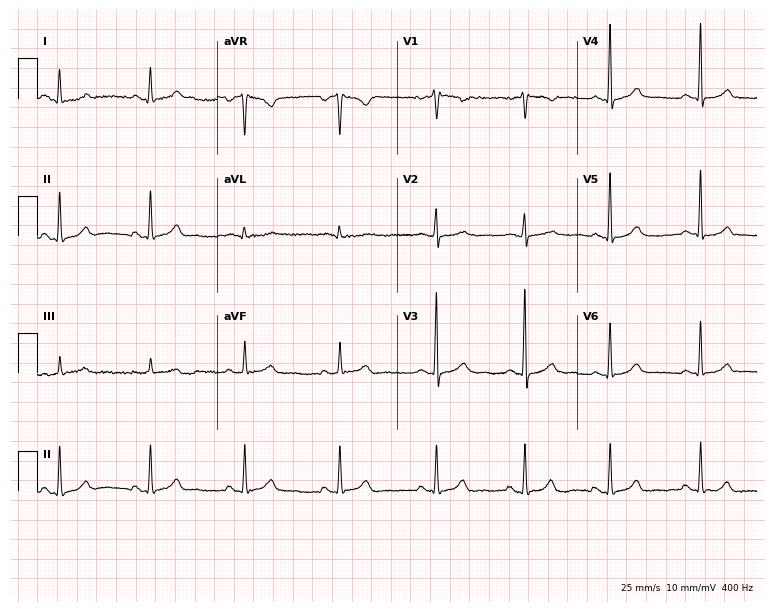
12-lead ECG from a 33-year-old woman. Recorded interpretation: within normal limits.